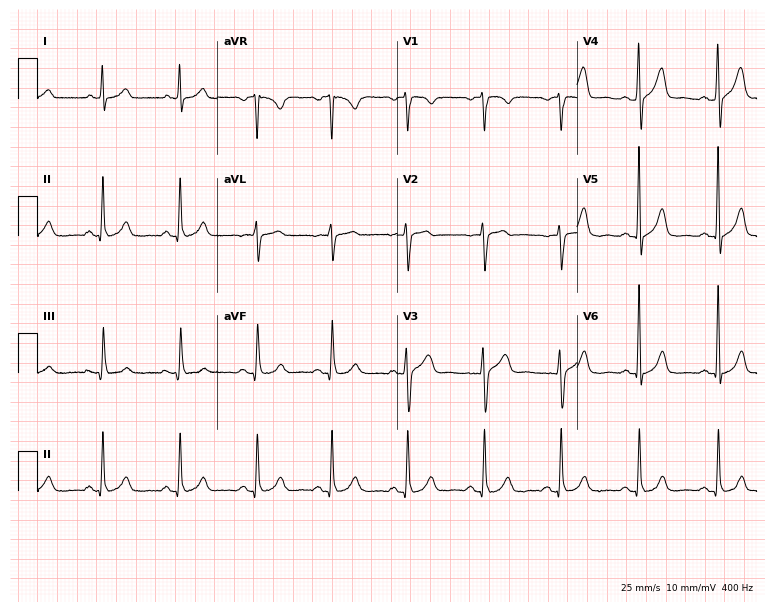
Electrocardiogram (7.3-second recording at 400 Hz), a woman, 71 years old. Of the six screened findings (first-degree AV block, right bundle branch block (RBBB), left bundle branch block (LBBB), sinus bradycardia, atrial fibrillation (AF), sinus tachycardia), none is recorded. Other findings, if any, are not listed.